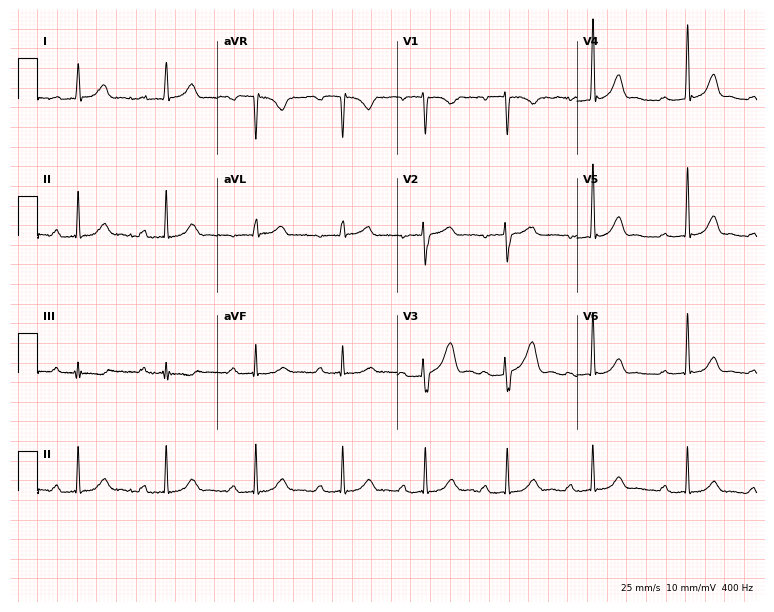
12-lead ECG from a female, 30 years old. Findings include first-degree AV block.